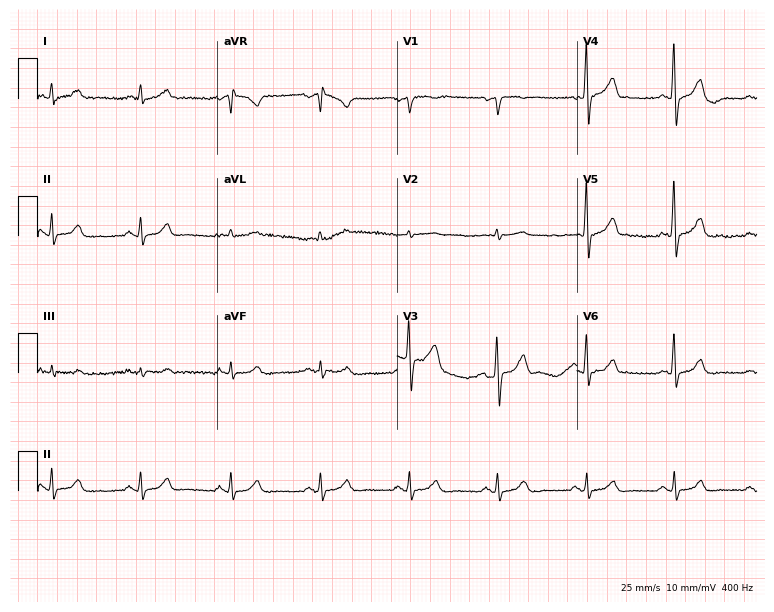
Resting 12-lead electrocardiogram (7.3-second recording at 400 Hz). Patient: a male, 63 years old. Read as a normal ECG.